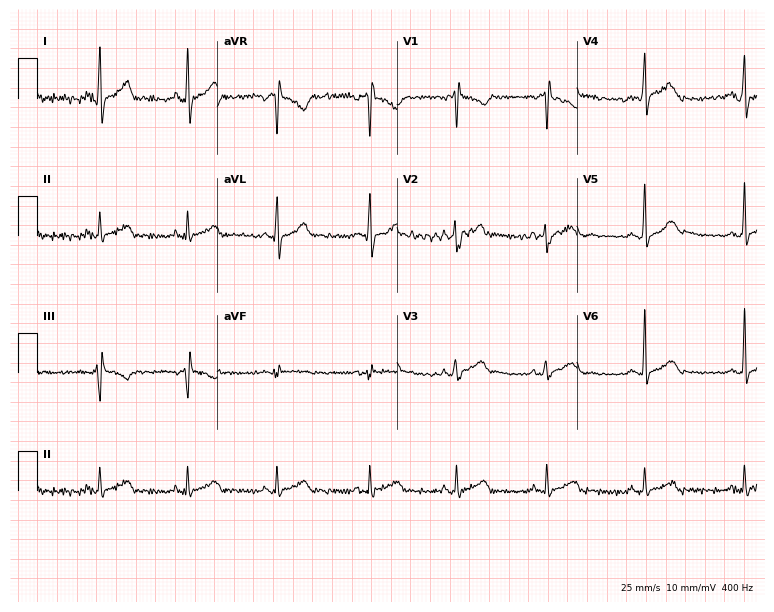
Standard 12-lead ECG recorded from a male, 20 years old. None of these six findings is recorded: first-degree AV block, right bundle branch block, left bundle branch block, sinus bradycardia, atrial fibrillation, sinus tachycardia.